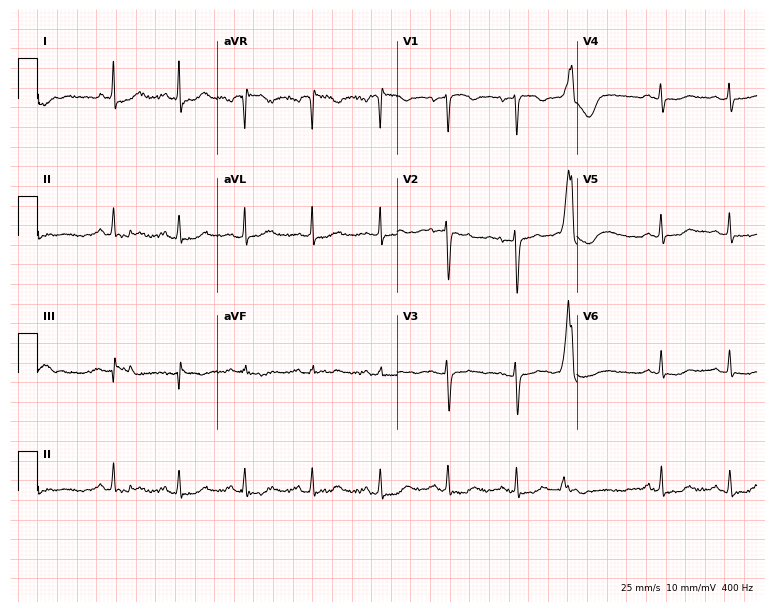
12-lead ECG (7.3-second recording at 400 Hz) from a woman, 60 years old. Screened for six findings — first-degree AV block, right bundle branch block (RBBB), left bundle branch block (LBBB), sinus bradycardia, atrial fibrillation (AF), sinus tachycardia — none is recorded. Only these six findings were labelled.